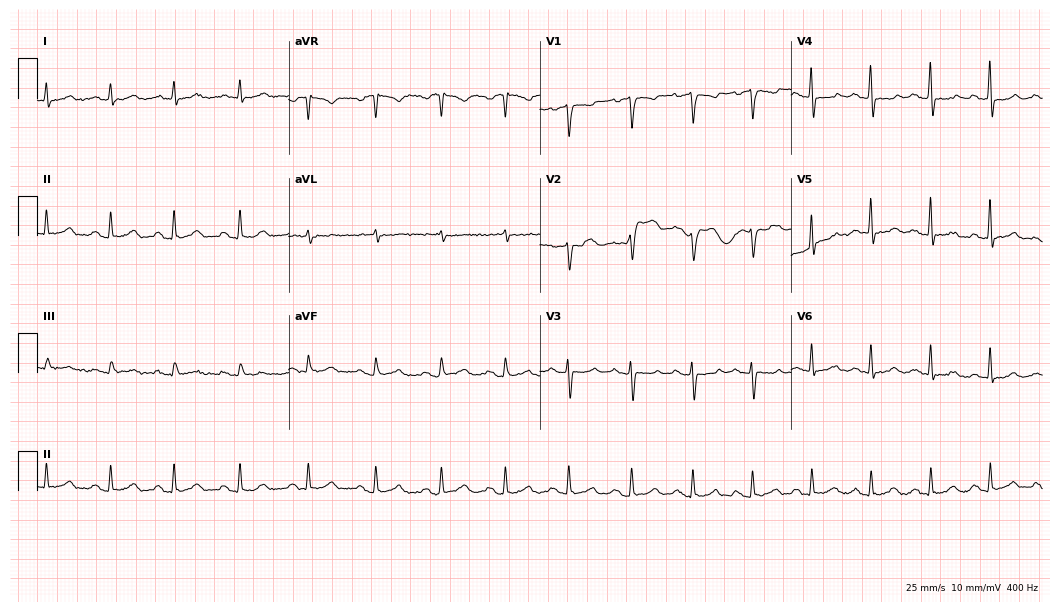
12-lead ECG from a female patient, 37 years old. Recorded interpretation: within normal limits.